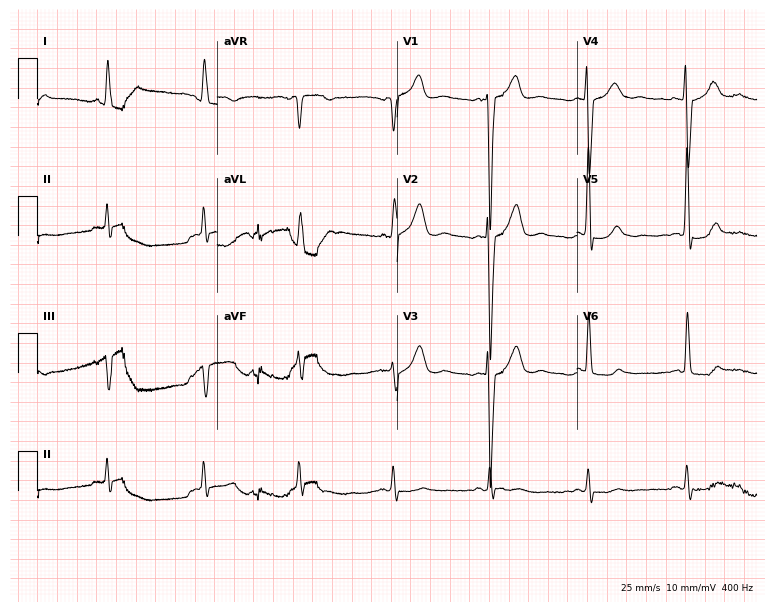
Standard 12-lead ECG recorded from a man, 84 years old (7.3-second recording at 400 Hz). None of these six findings is recorded: first-degree AV block, right bundle branch block, left bundle branch block, sinus bradycardia, atrial fibrillation, sinus tachycardia. Only these six findings were labelled.